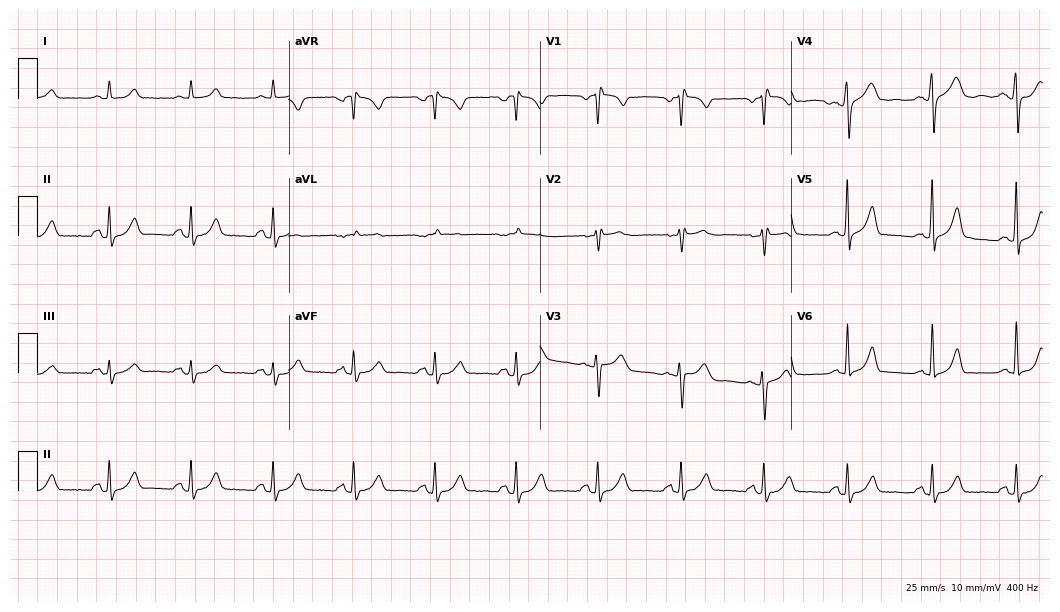
Electrocardiogram (10.2-second recording at 400 Hz), a 64-year-old man. Overall reading on record: normal ECG.